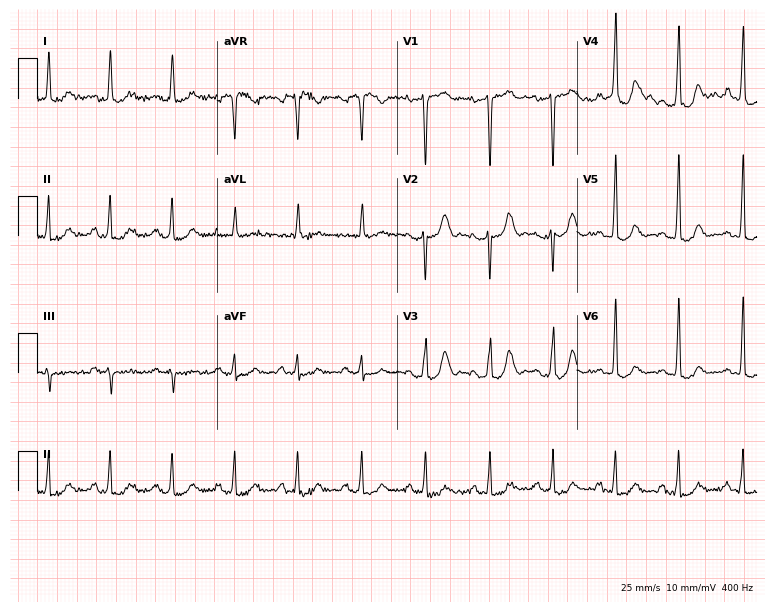
ECG — a 57-year-old female patient. Labelled as a normal ECG.